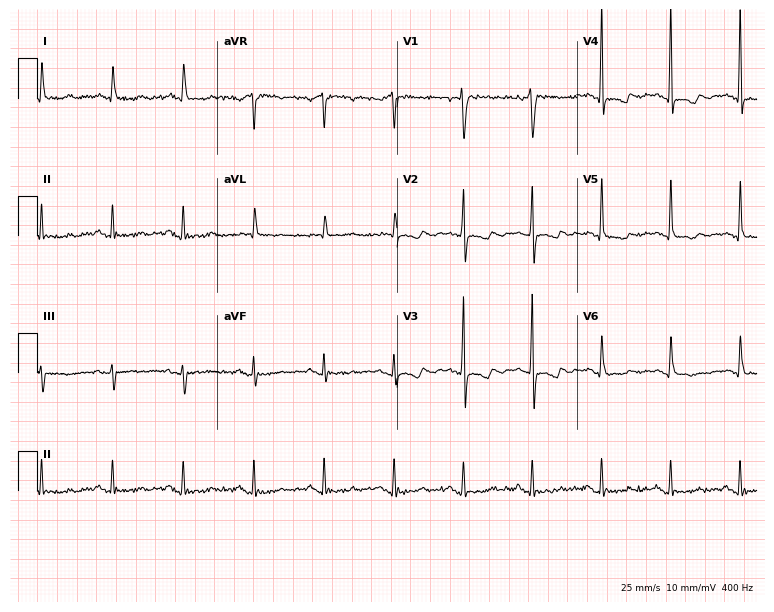
12-lead ECG (7.3-second recording at 400 Hz) from a female, 63 years old. Screened for six findings — first-degree AV block, right bundle branch block, left bundle branch block, sinus bradycardia, atrial fibrillation, sinus tachycardia — none is recorded.